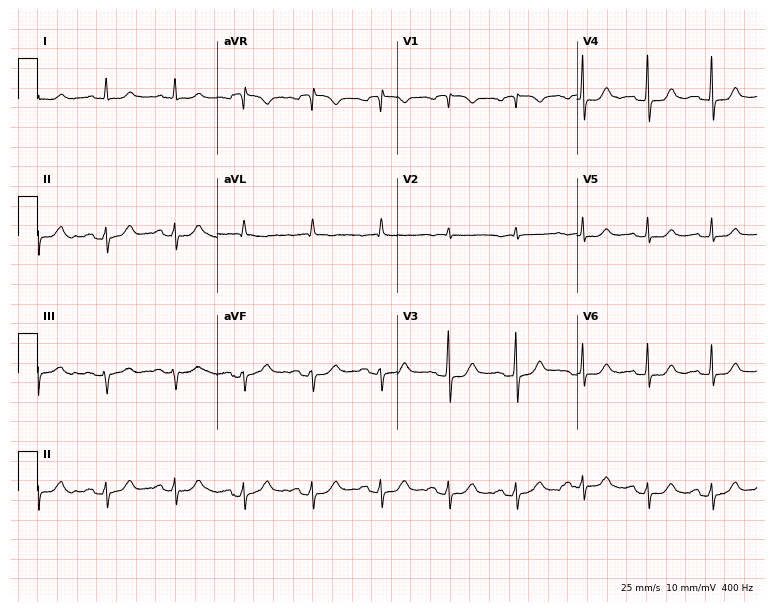
ECG — a female patient, 73 years old. Screened for six findings — first-degree AV block, right bundle branch block (RBBB), left bundle branch block (LBBB), sinus bradycardia, atrial fibrillation (AF), sinus tachycardia — none is recorded.